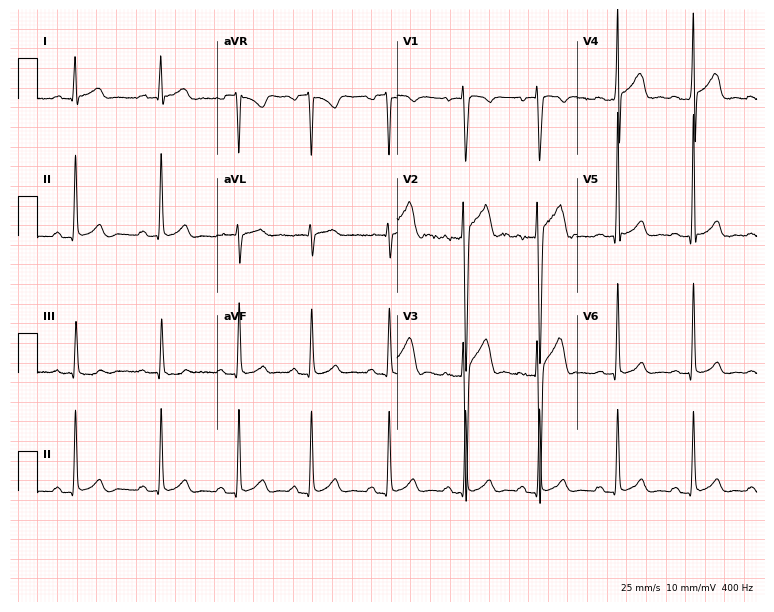
ECG (7.3-second recording at 400 Hz) — a man, 25 years old. Labelled as a normal ECG.